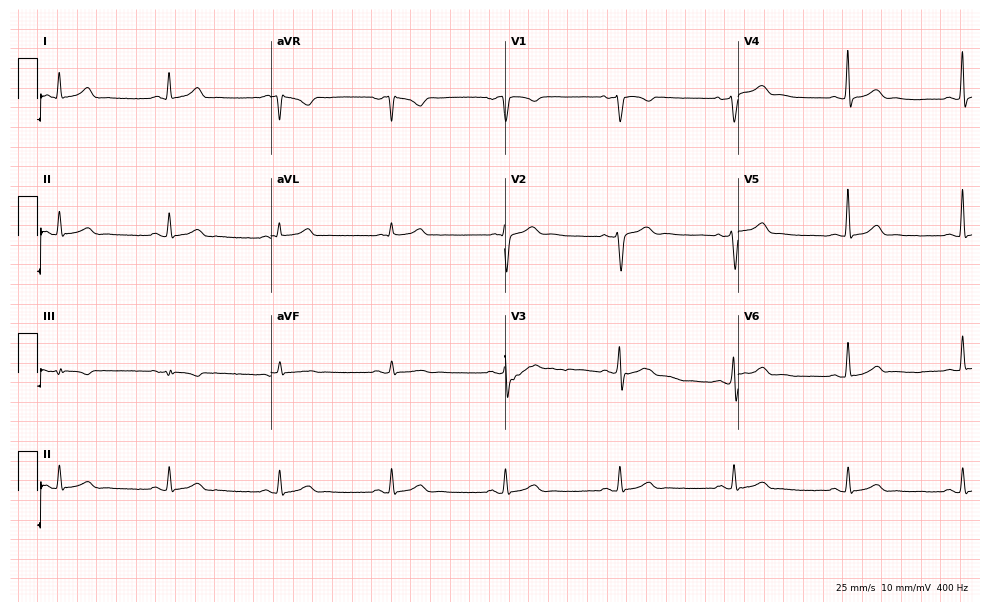
12-lead ECG from a 50-year-old man. Recorded interpretation: within normal limits.